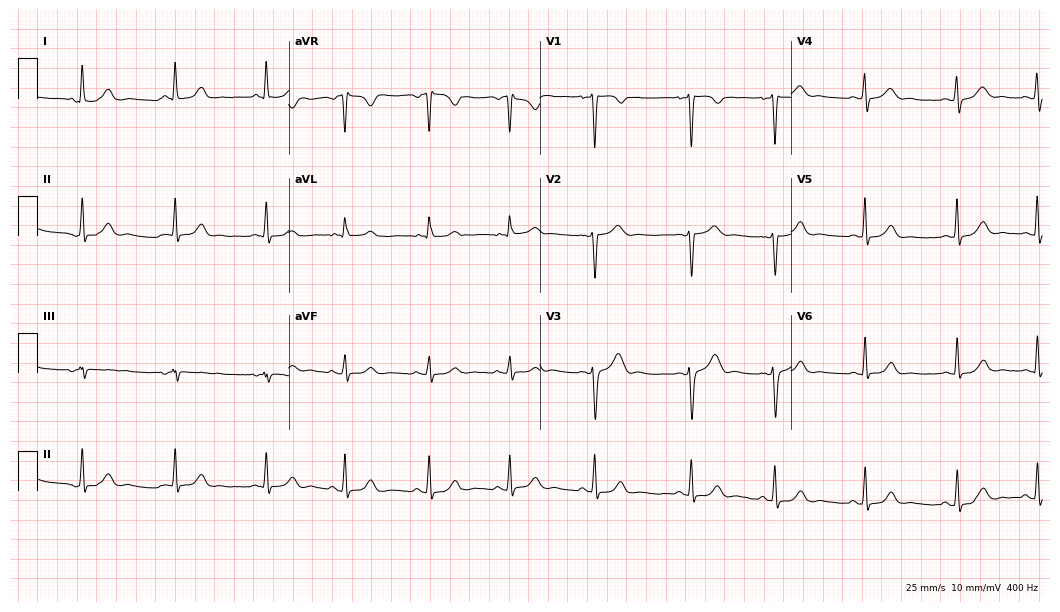
ECG — a female patient, 20 years old. Labelled as a normal ECG.